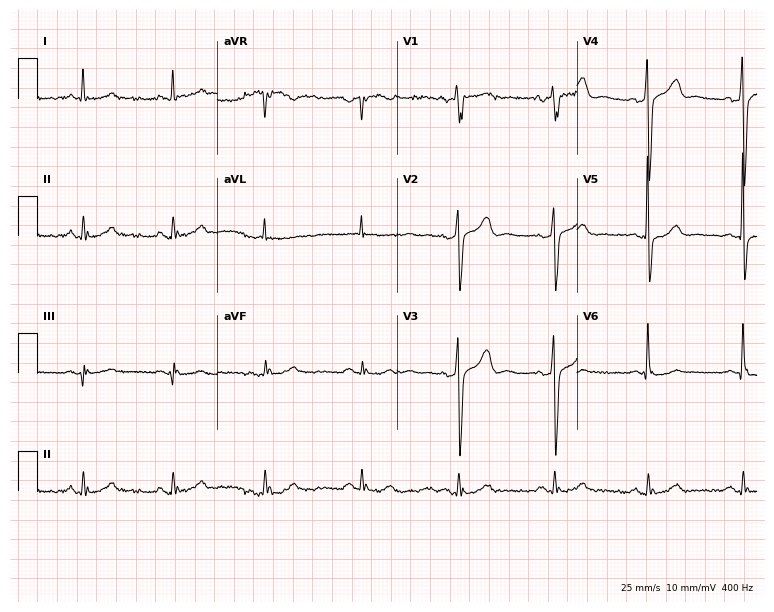
ECG (7.3-second recording at 400 Hz) — a 63-year-old male. Screened for six findings — first-degree AV block, right bundle branch block, left bundle branch block, sinus bradycardia, atrial fibrillation, sinus tachycardia — none is recorded. Findings outside these six are not listed.